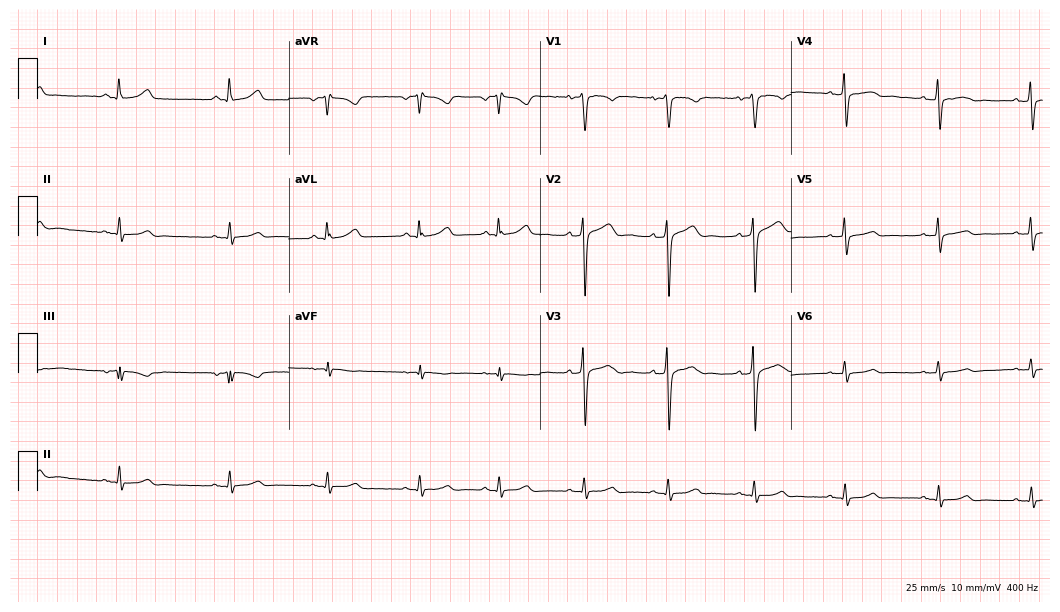
Resting 12-lead electrocardiogram (10.2-second recording at 400 Hz). Patient: a 35-year-old male. None of these six findings is recorded: first-degree AV block, right bundle branch block, left bundle branch block, sinus bradycardia, atrial fibrillation, sinus tachycardia. Only these six findings were labelled.